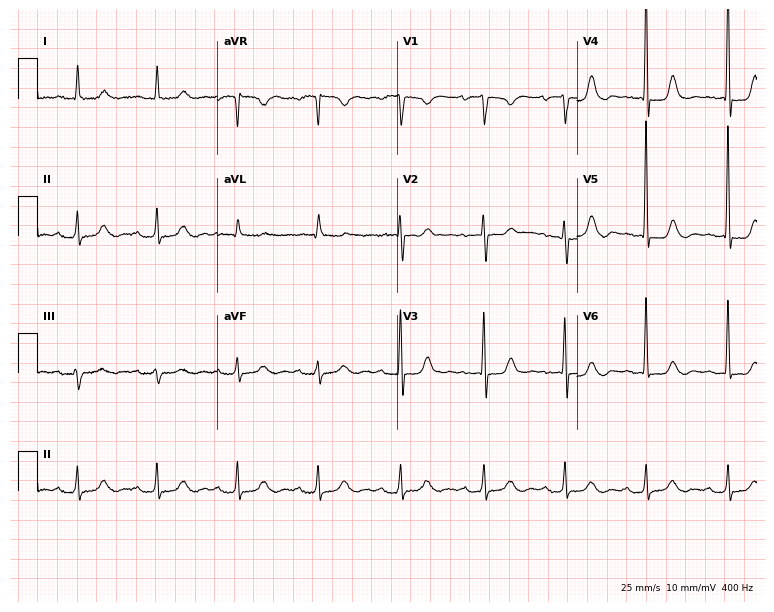
12-lead ECG from a female, 75 years old. Screened for six findings — first-degree AV block, right bundle branch block, left bundle branch block, sinus bradycardia, atrial fibrillation, sinus tachycardia — none is recorded. Only these six findings were labelled.